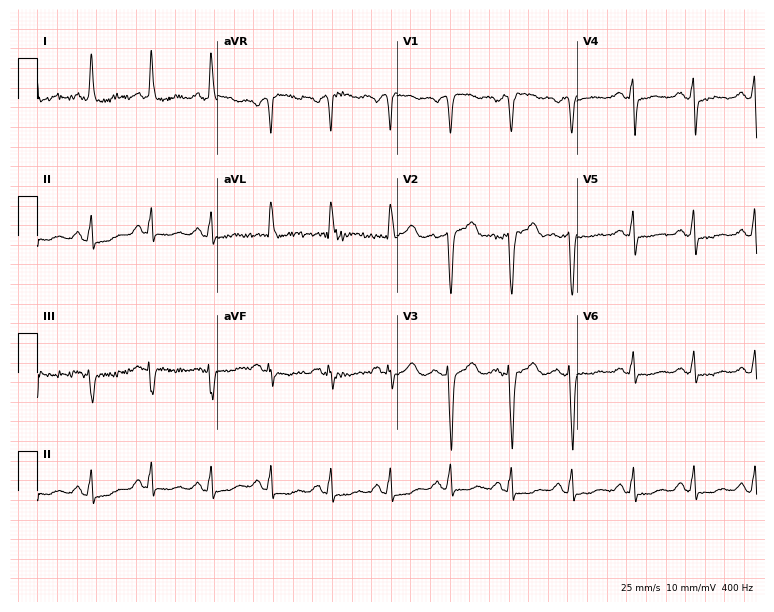
Electrocardiogram, a woman, 57 years old. Of the six screened findings (first-degree AV block, right bundle branch block, left bundle branch block, sinus bradycardia, atrial fibrillation, sinus tachycardia), none is recorded.